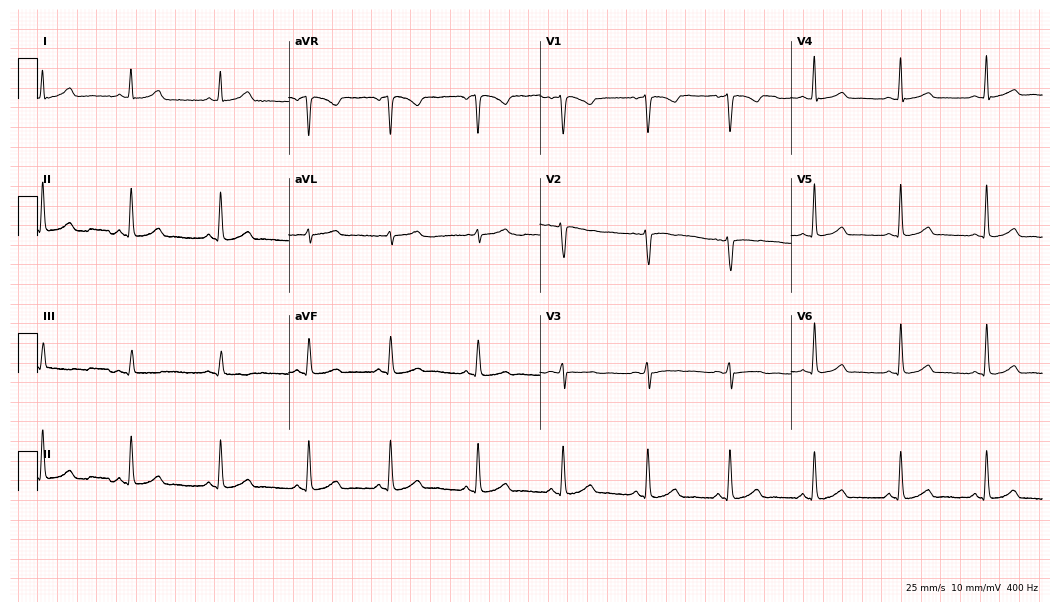
12-lead ECG from a 37-year-old female. No first-degree AV block, right bundle branch block, left bundle branch block, sinus bradycardia, atrial fibrillation or sinus tachycardia recorded for this tracing. Only these six findings were labelled.